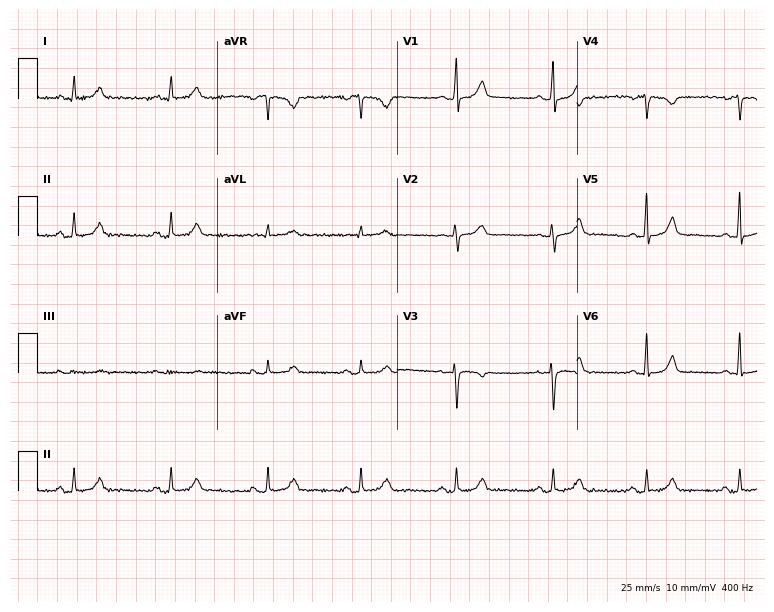
Standard 12-lead ECG recorded from a 47-year-old woman. Read as a normal ECG.